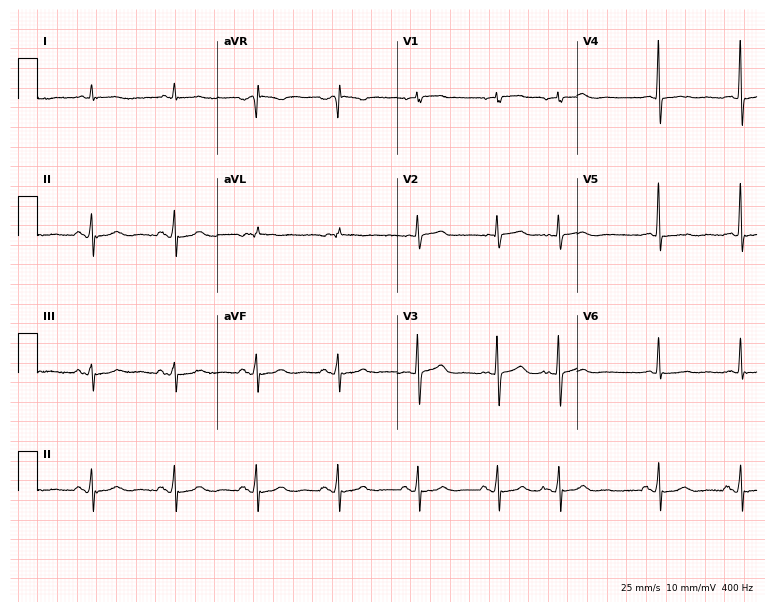
Standard 12-lead ECG recorded from an 83-year-old man (7.3-second recording at 400 Hz). None of these six findings is recorded: first-degree AV block, right bundle branch block (RBBB), left bundle branch block (LBBB), sinus bradycardia, atrial fibrillation (AF), sinus tachycardia. Findings outside these six are not listed.